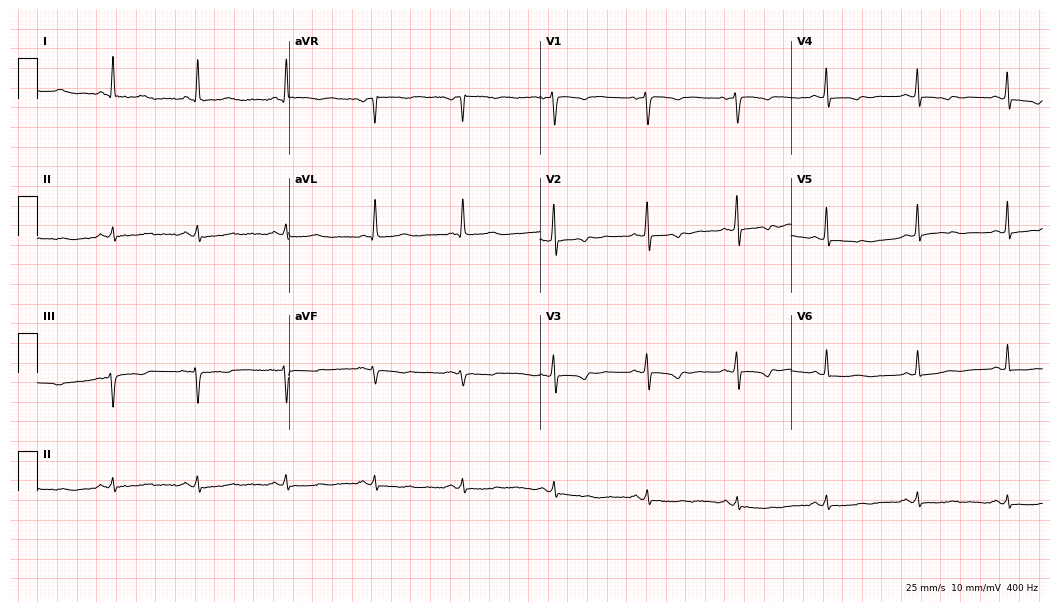
Standard 12-lead ECG recorded from a 66-year-old female. None of these six findings is recorded: first-degree AV block, right bundle branch block, left bundle branch block, sinus bradycardia, atrial fibrillation, sinus tachycardia.